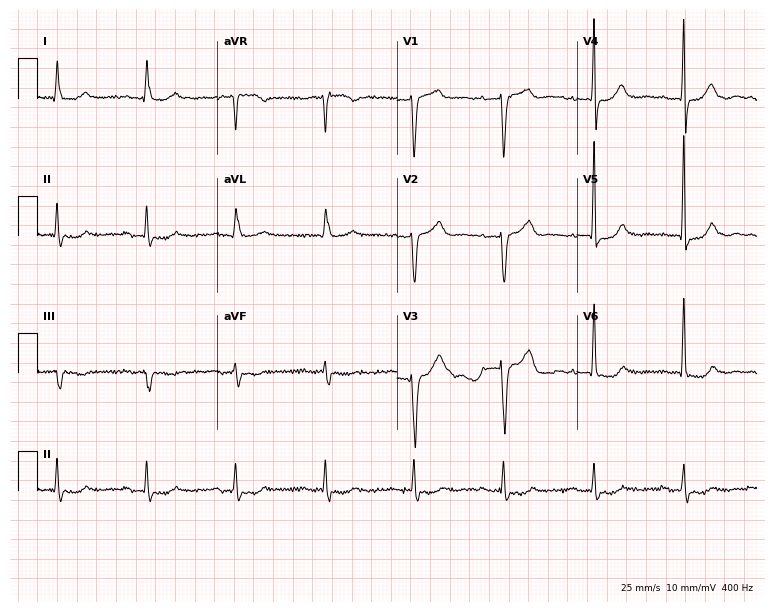
12-lead ECG from a 73-year-old man. Screened for six findings — first-degree AV block, right bundle branch block (RBBB), left bundle branch block (LBBB), sinus bradycardia, atrial fibrillation (AF), sinus tachycardia — none is recorded.